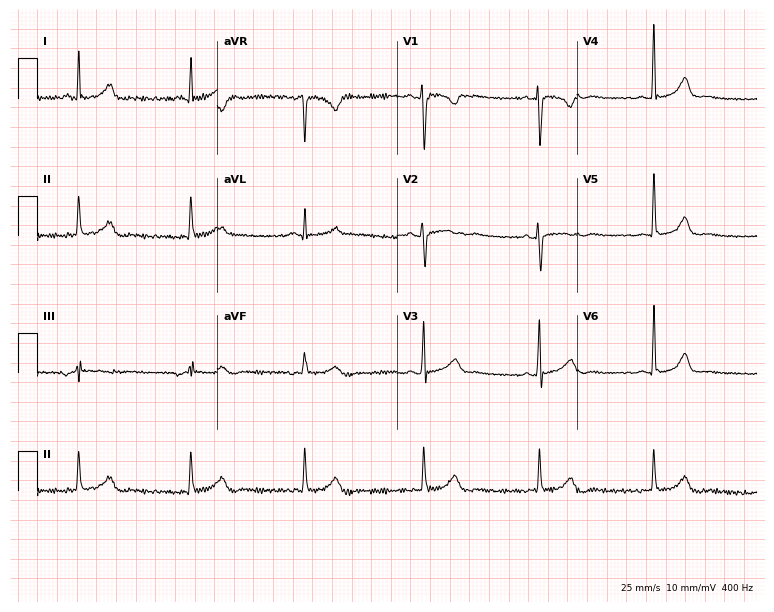
12-lead ECG from a 35-year-old female. Screened for six findings — first-degree AV block, right bundle branch block (RBBB), left bundle branch block (LBBB), sinus bradycardia, atrial fibrillation (AF), sinus tachycardia — none is recorded. Only these six findings were labelled.